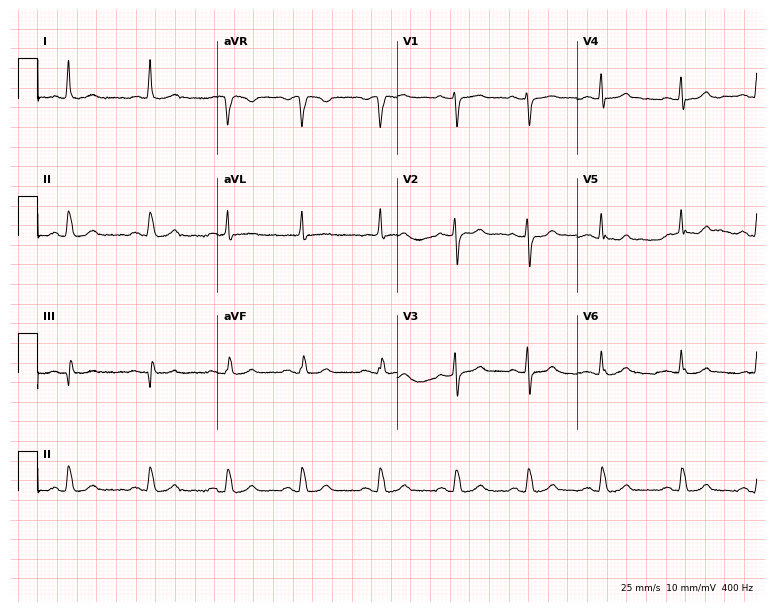
12-lead ECG (7.3-second recording at 400 Hz) from a 49-year-old woman. Labelled as a normal ECG.